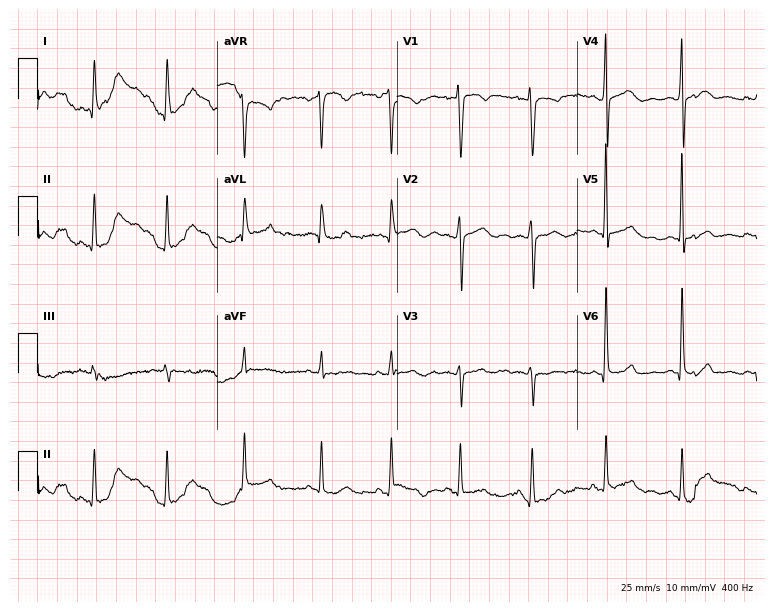
12-lead ECG from a 37-year-old female. Labelled as a normal ECG.